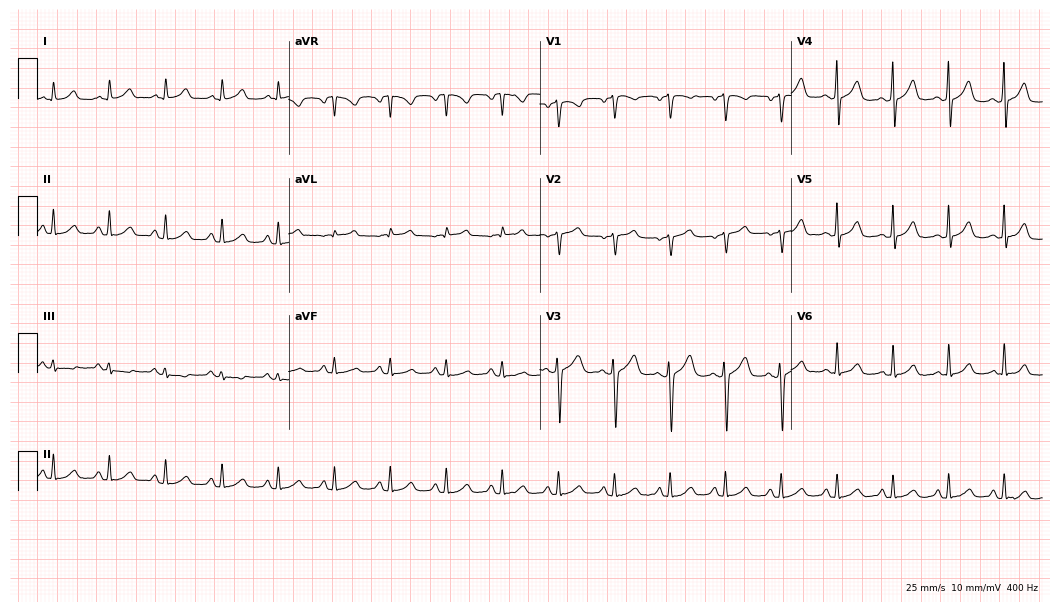
Standard 12-lead ECG recorded from a female, 42 years old. The tracing shows sinus tachycardia (a sinus rate of 100 beats per minute or more).